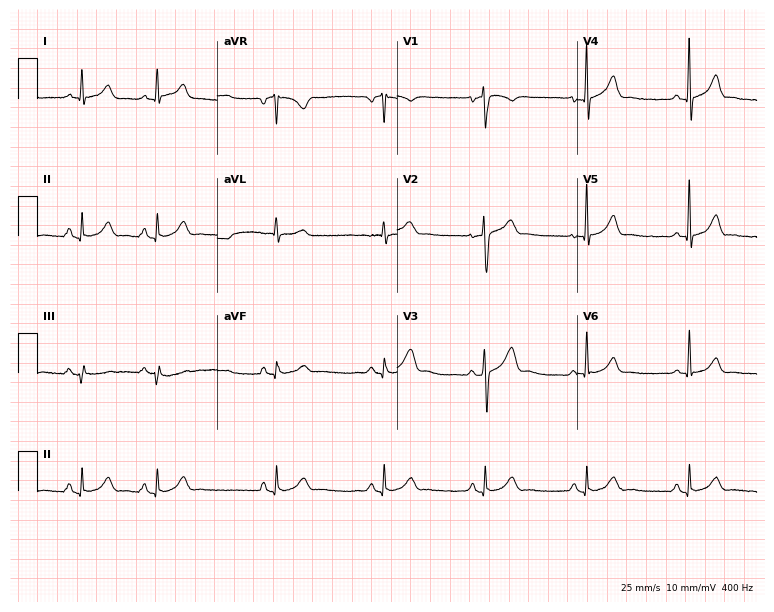
Standard 12-lead ECG recorded from a 54-year-old man. Read as a normal ECG.